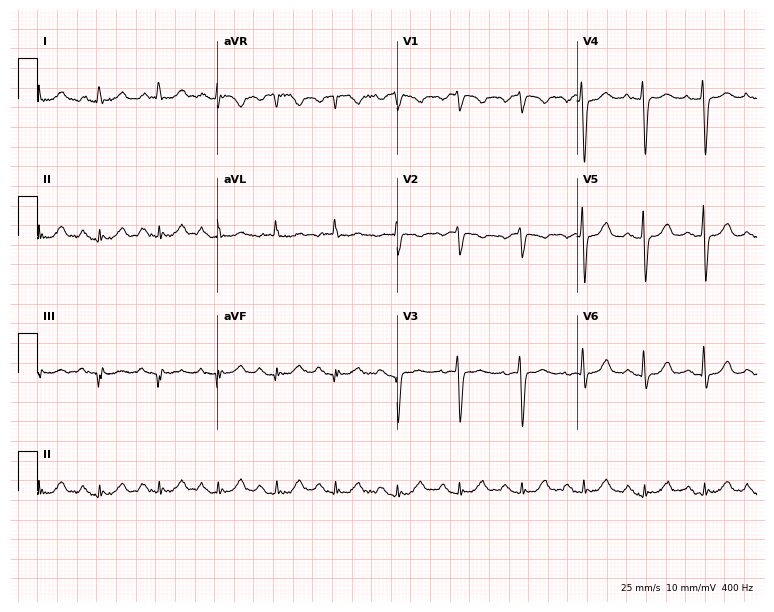
Electrocardiogram (7.3-second recording at 400 Hz), a female patient, 70 years old. Of the six screened findings (first-degree AV block, right bundle branch block, left bundle branch block, sinus bradycardia, atrial fibrillation, sinus tachycardia), none is recorded.